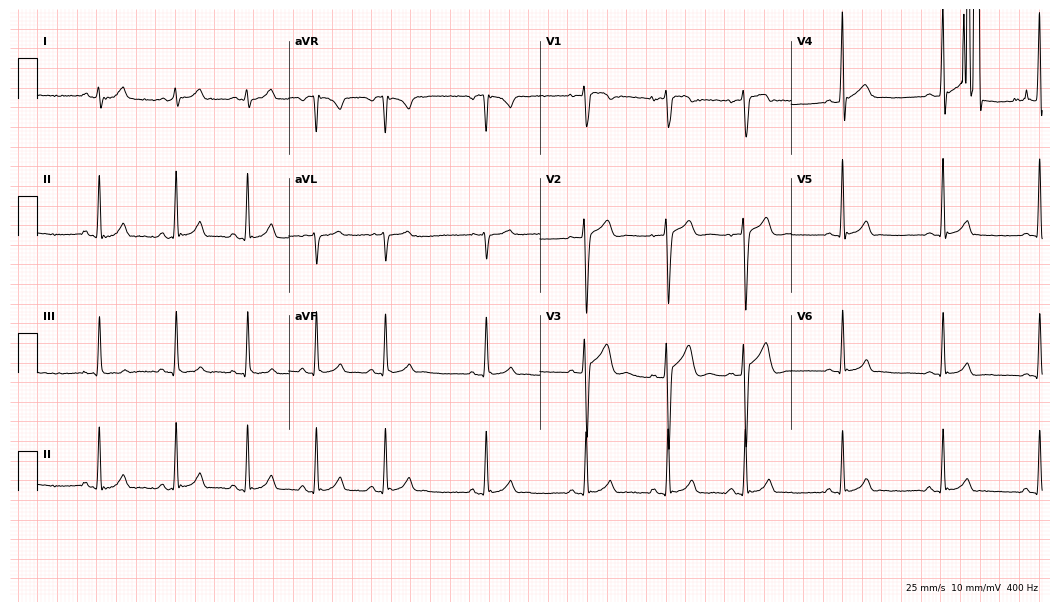
12-lead ECG from an 18-year-old man. No first-degree AV block, right bundle branch block, left bundle branch block, sinus bradycardia, atrial fibrillation or sinus tachycardia recorded for this tracing.